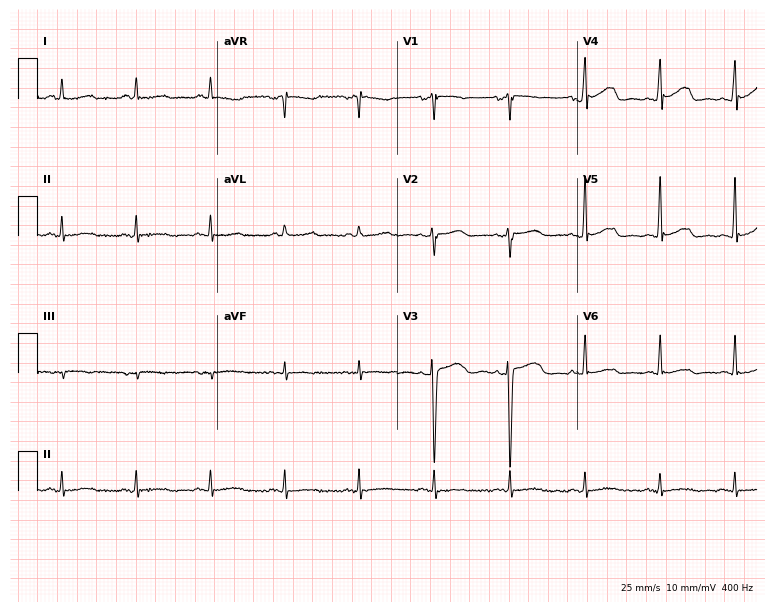
12-lead ECG (7.3-second recording at 400 Hz) from a woman, 50 years old. Labelled as a normal ECG.